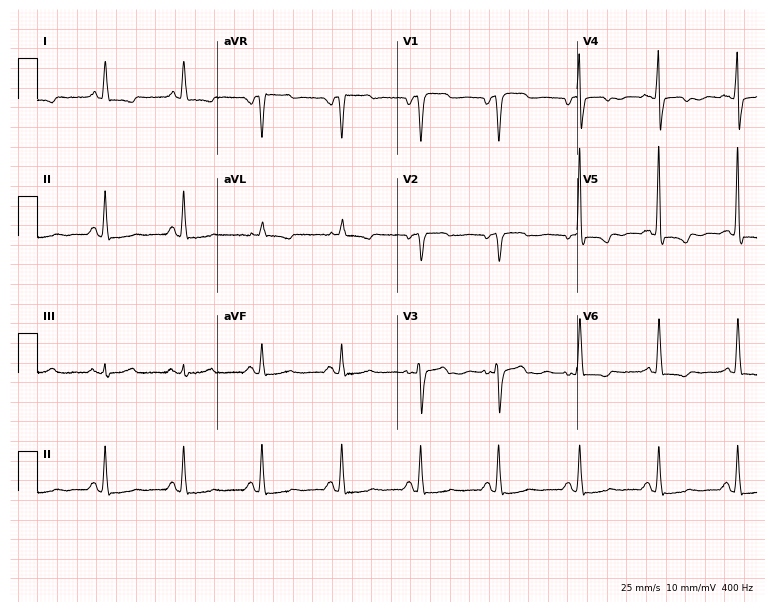
Electrocardiogram (7.3-second recording at 400 Hz), a woman, 65 years old. Of the six screened findings (first-degree AV block, right bundle branch block, left bundle branch block, sinus bradycardia, atrial fibrillation, sinus tachycardia), none is recorded. Findings outside these six are not listed.